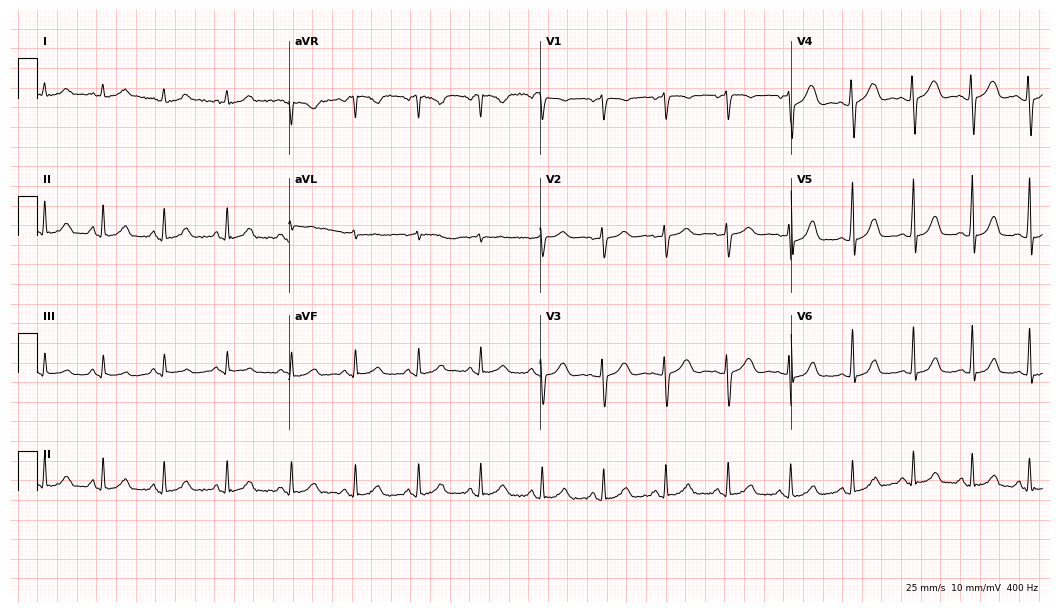
Standard 12-lead ECG recorded from a female patient, 24 years old (10.2-second recording at 400 Hz). Read as a normal ECG.